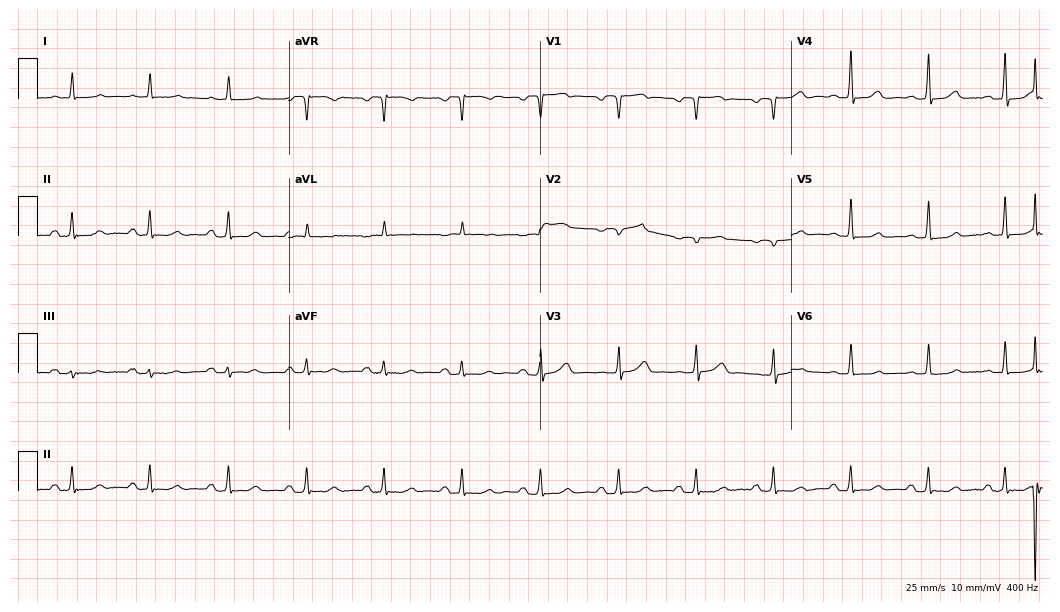
Electrocardiogram, a 73-year-old man. Overall reading on record: normal ECG.